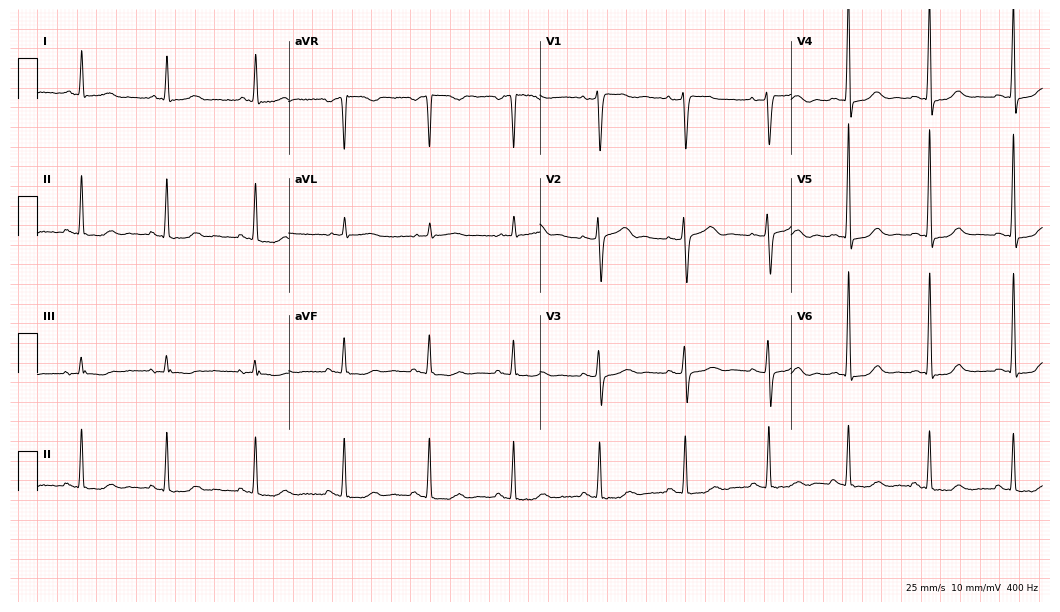
Standard 12-lead ECG recorded from a 62-year-old female patient (10.2-second recording at 400 Hz). Read as a normal ECG.